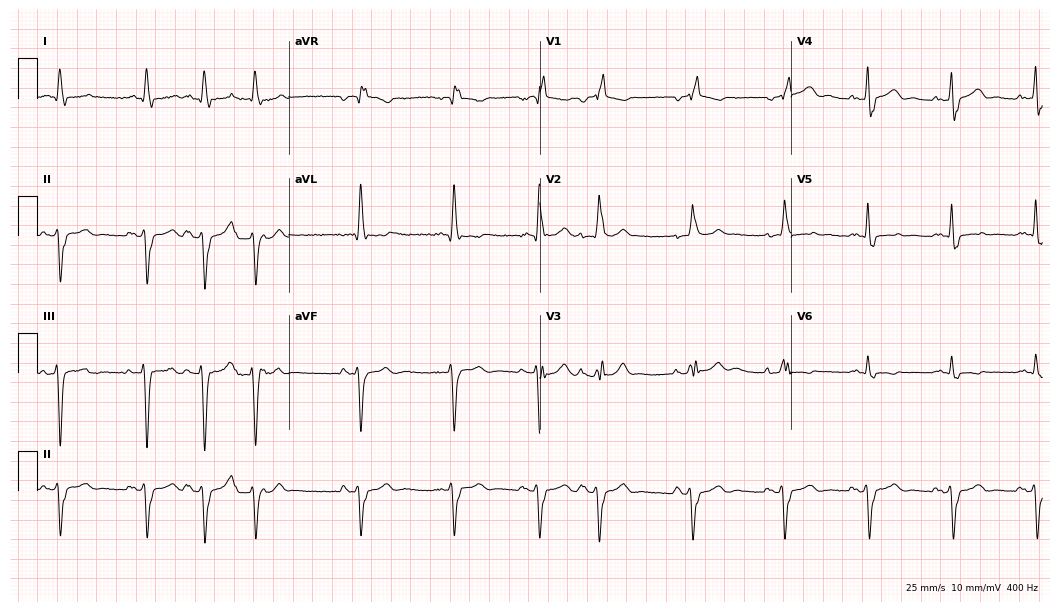
Standard 12-lead ECG recorded from a 76-year-old male patient (10.2-second recording at 400 Hz). The tracing shows right bundle branch block (RBBB).